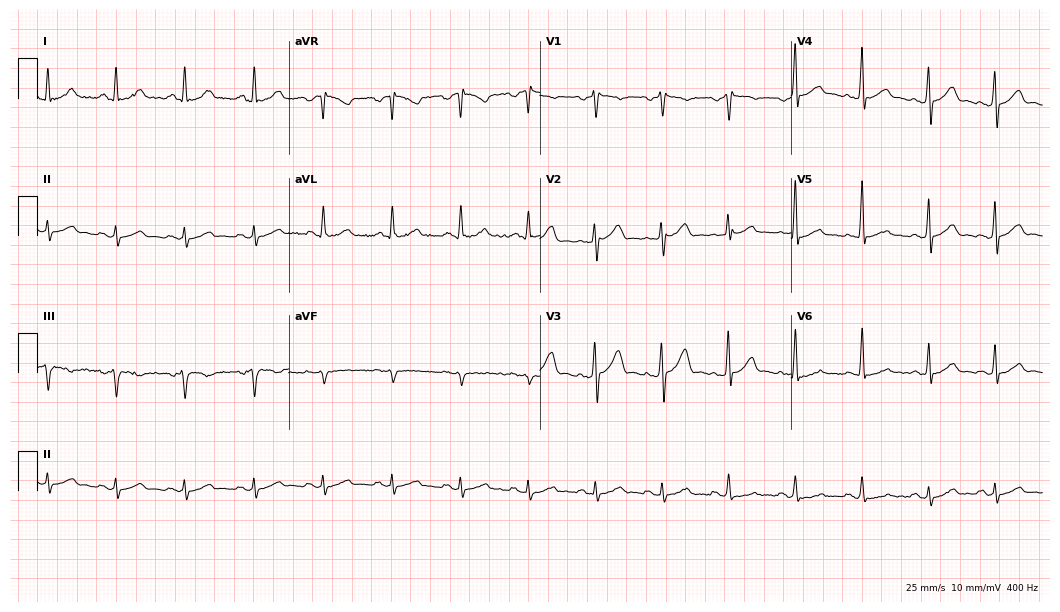
12-lead ECG (10.2-second recording at 400 Hz) from a 44-year-old male. Labelled as a normal ECG.